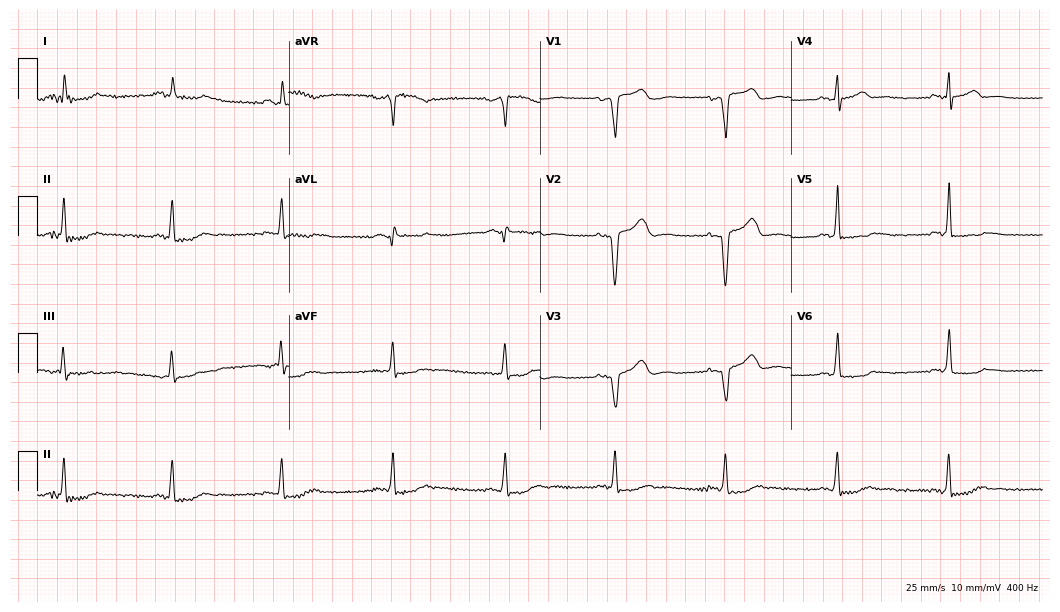
12-lead ECG from a female, 60 years old (10.2-second recording at 400 Hz). No first-degree AV block, right bundle branch block, left bundle branch block, sinus bradycardia, atrial fibrillation or sinus tachycardia recorded for this tracing. Other findings, if any, are not listed.